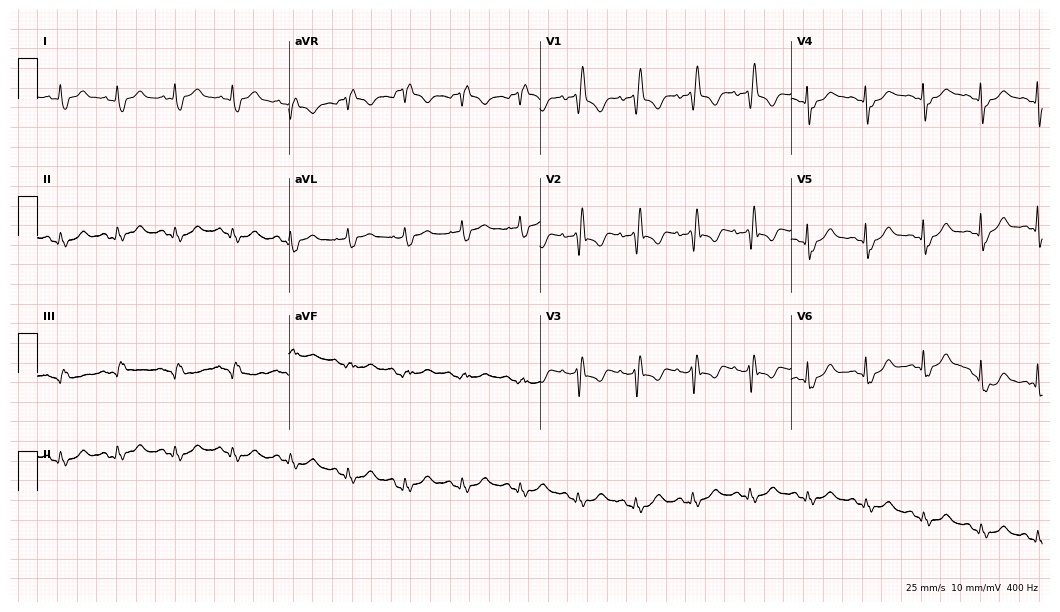
Standard 12-lead ECG recorded from an 85-year-old female. The tracing shows right bundle branch block, sinus tachycardia (a sinus rate of 100 beats per minute or more).